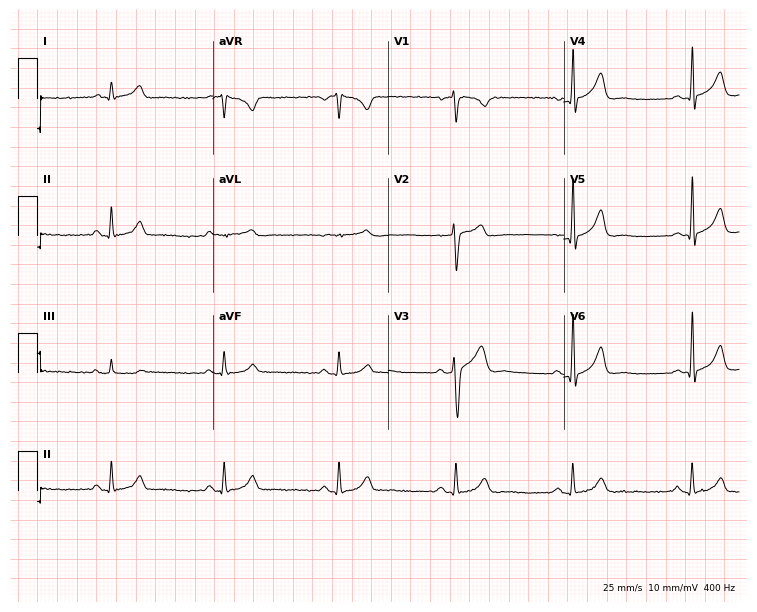
Standard 12-lead ECG recorded from a man, 50 years old. None of these six findings is recorded: first-degree AV block, right bundle branch block, left bundle branch block, sinus bradycardia, atrial fibrillation, sinus tachycardia.